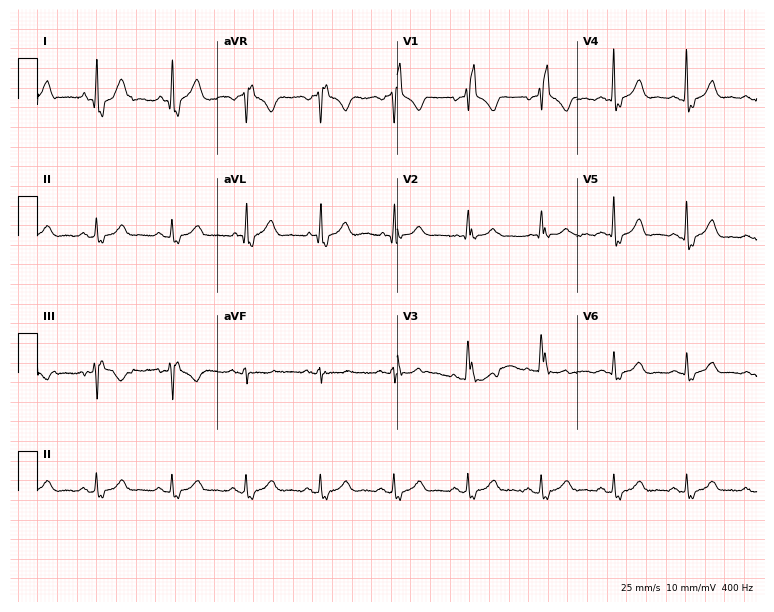
Standard 12-lead ECG recorded from a woman, 77 years old. The tracing shows right bundle branch block.